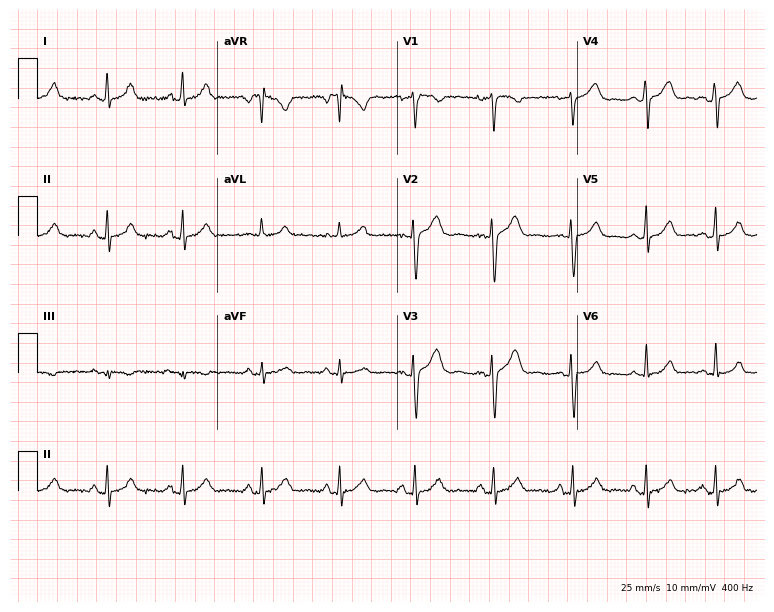
ECG — a 21-year-old female patient. Labelled as a normal ECG.